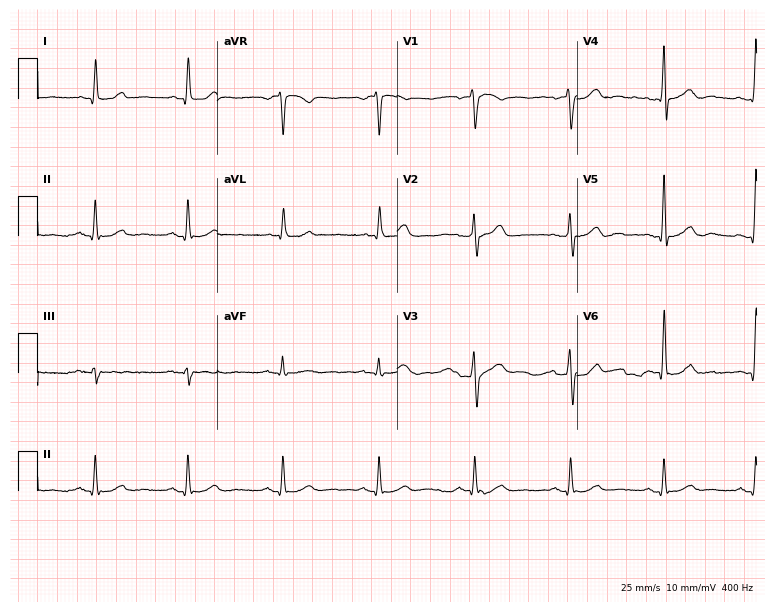
ECG (7.3-second recording at 400 Hz) — a male patient, 70 years old. Screened for six findings — first-degree AV block, right bundle branch block, left bundle branch block, sinus bradycardia, atrial fibrillation, sinus tachycardia — none is recorded. Other findings, if any, are not listed.